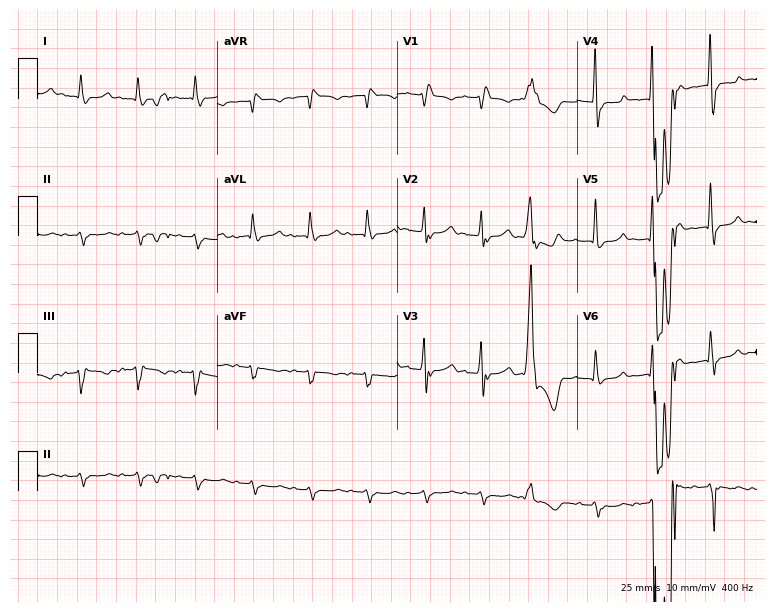
12-lead ECG from a 72-year-old woman. Shows right bundle branch block (RBBB).